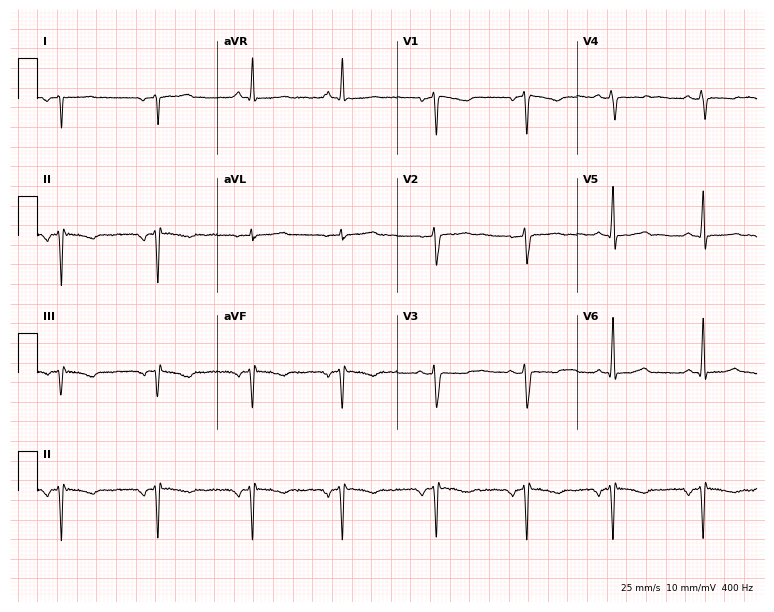
Standard 12-lead ECG recorded from a 41-year-old woman (7.3-second recording at 400 Hz). None of these six findings is recorded: first-degree AV block, right bundle branch block (RBBB), left bundle branch block (LBBB), sinus bradycardia, atrial fibrillation (AF), sinus tachycardia. Findings outside these six are not listed.